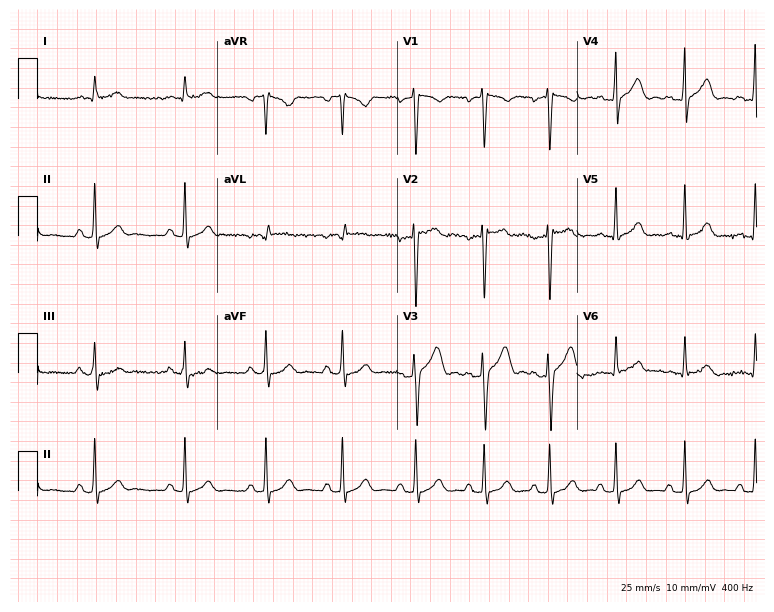
12-lead ECG from a 28-year-old male patient. Screened for six findings — first-degree AV block, right bundle branch block (RBBB), left bundle branch block (LBBB), sinus bradycardia, atrial fibrillation (AF), sinus tachycardia — none is recorded. Findings outside these six are not listed.